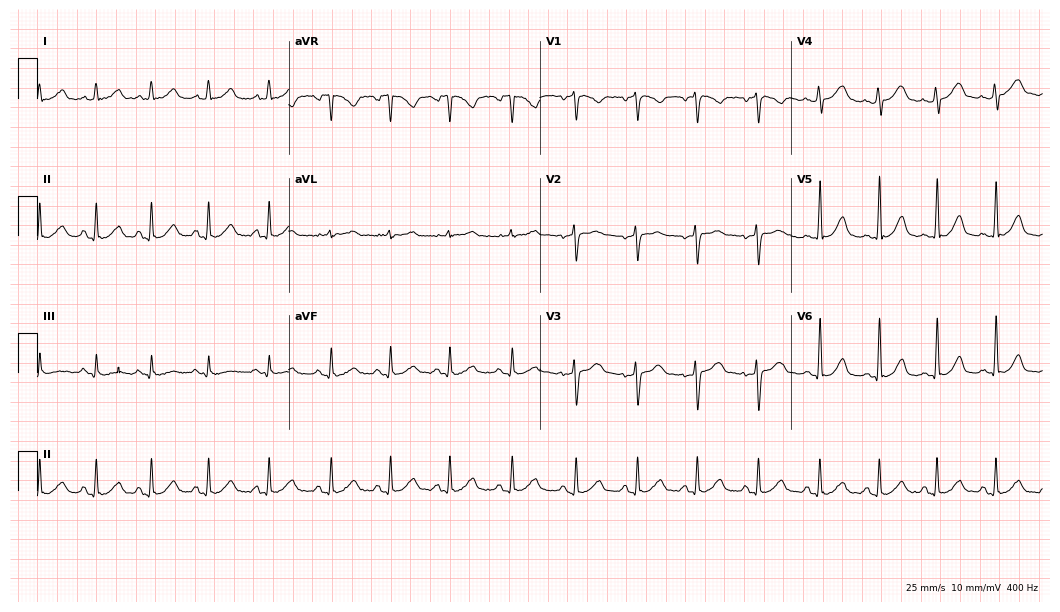
12-lead ECG from a female, 28 years old (10.2-second recording at 400 Hz). Recorded interpretation: within normal limits.